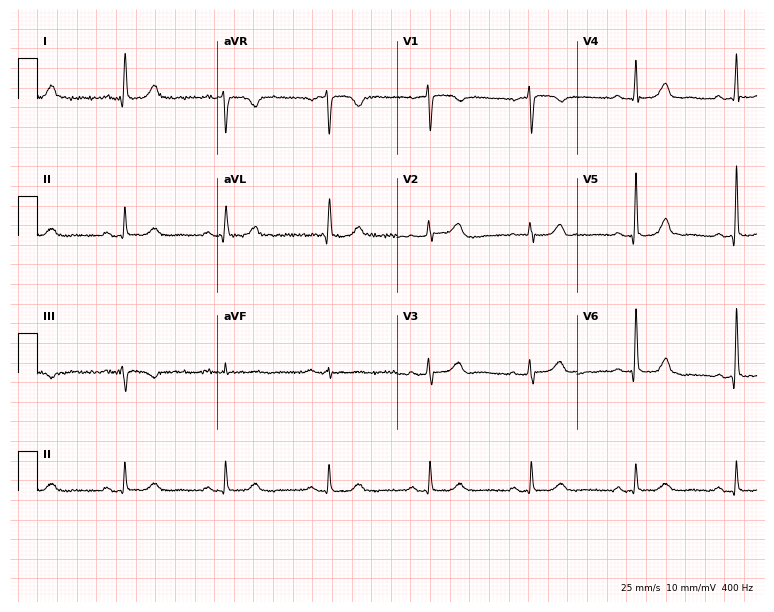
ECG — a 75-year-old female. Labelled as a normal ECG.